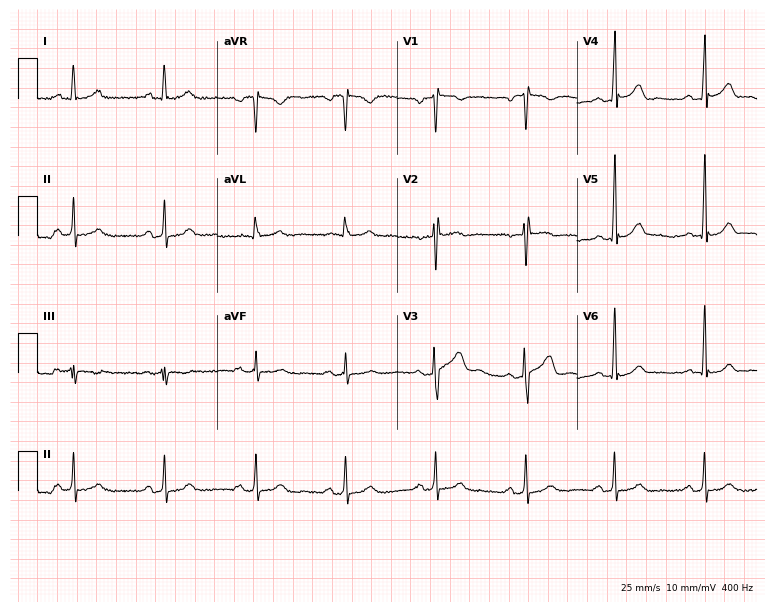
12-lead ECG from a male, 46 years old (7.3-second recording at 400 Hz). Recorded interpretation: within normal limits.